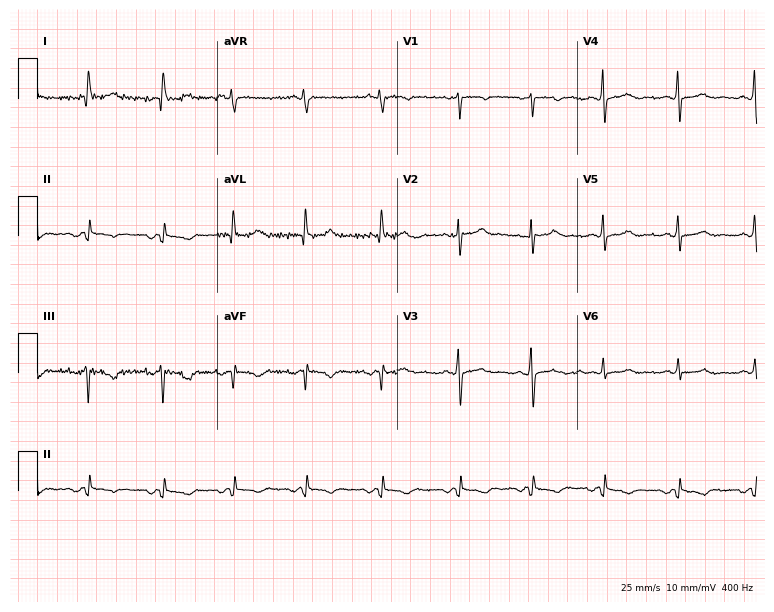
ECG — a woman, 34 years old. Screened for six findings — first-degree AV block, right bundle branch block, left bundle branch block, sinus bradycardia, atrial fibrillation, sinus tachycardia — none is recorded.